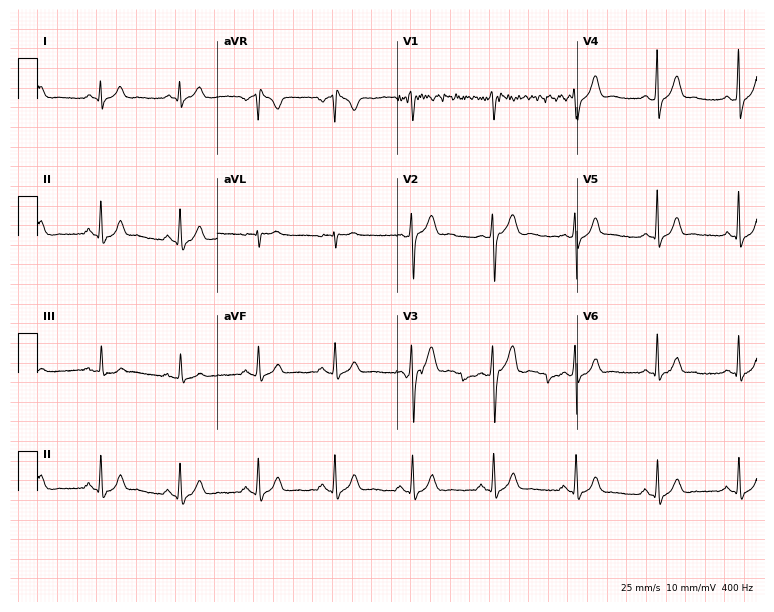
Standard 12-lead ECG recorded from a 29-year-old male patient (7.3-second recording at 400 Hz). Read as a normal ECG.